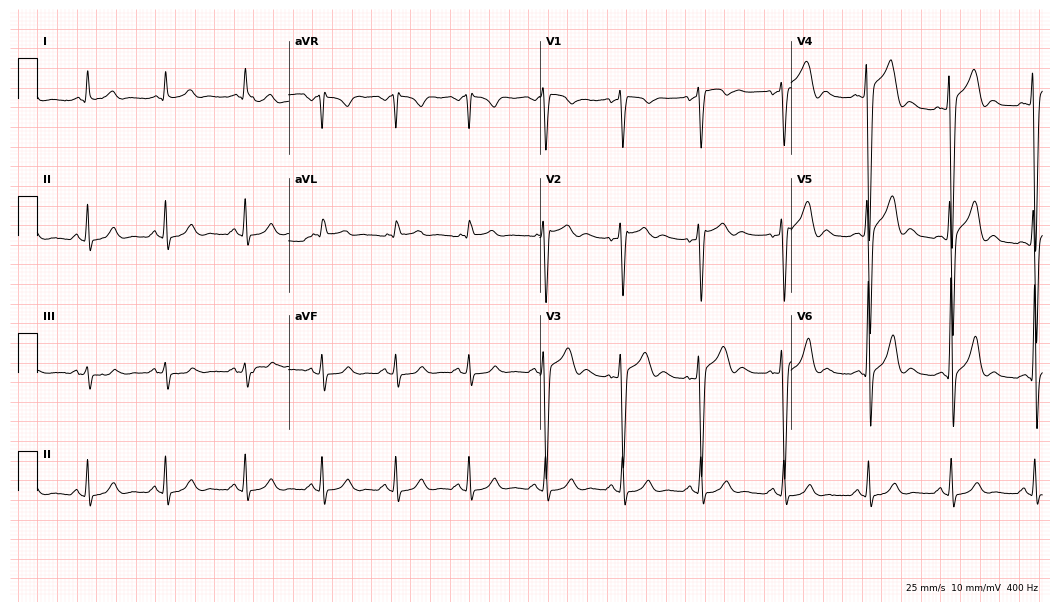
12-lead ECG from a 48-year-old man (10.2-second recording at 400 Hz). Recorded interpretation: within normal limits.